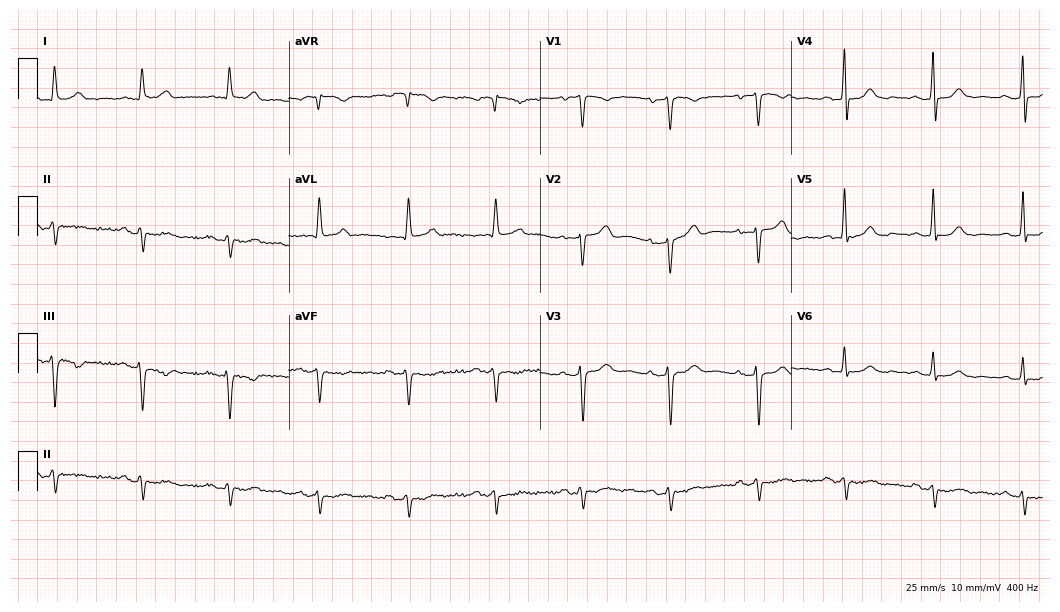
Standard 12-lead ECG recorded from a male patient, 75 years old. None of these six findings is recorded: first-degree AV block, right bundle branch block (RBBB), left bundle branch block (LBBB), sinus bradycardia, atrial fibrillation (AF), sinus tachycardia. Other findings, if any, are not listed.